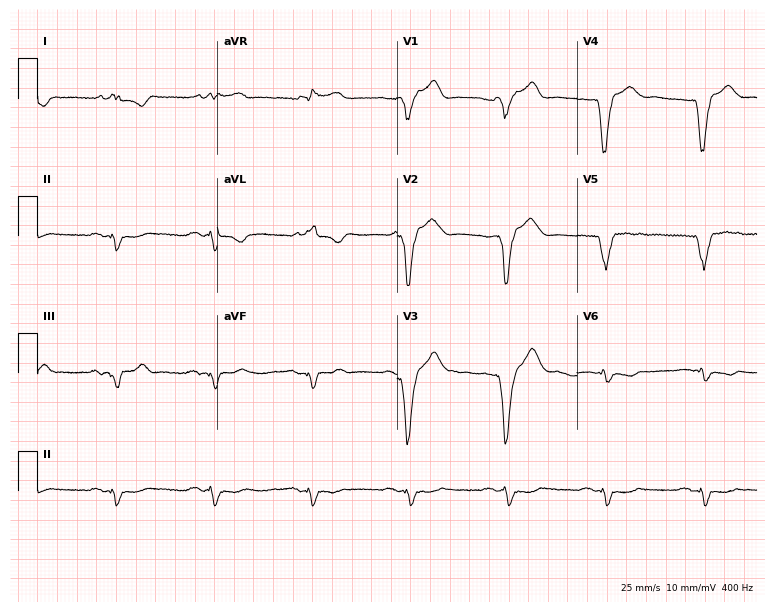
ECG — a man, 63 years old. Screened for six findings — first-degree AV block, right bundle branch block, left bundle branch block, sinus bradycardia, atrial fibrillation, sinus tachycardia — none is recorded.